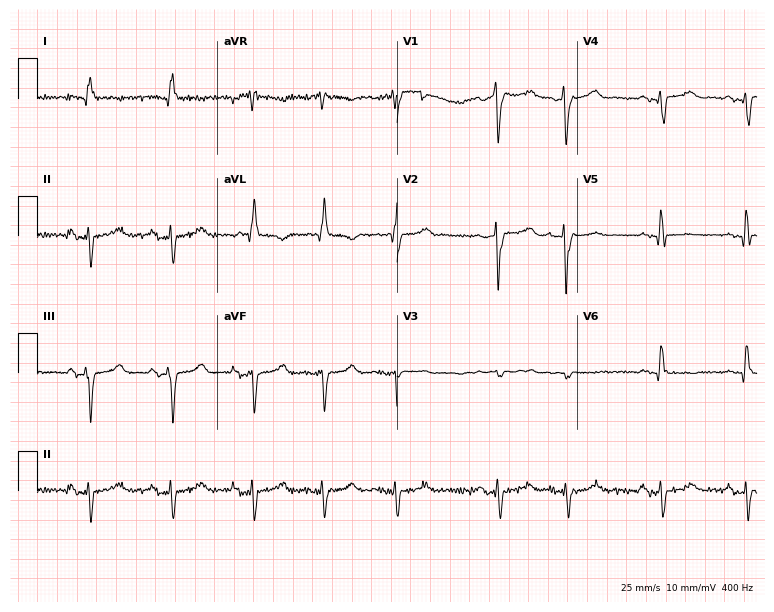
Electrocardiogram (7.3-second recording at 400 Hz), a 62-year-old female. Interpretation includes left bundle branch block.